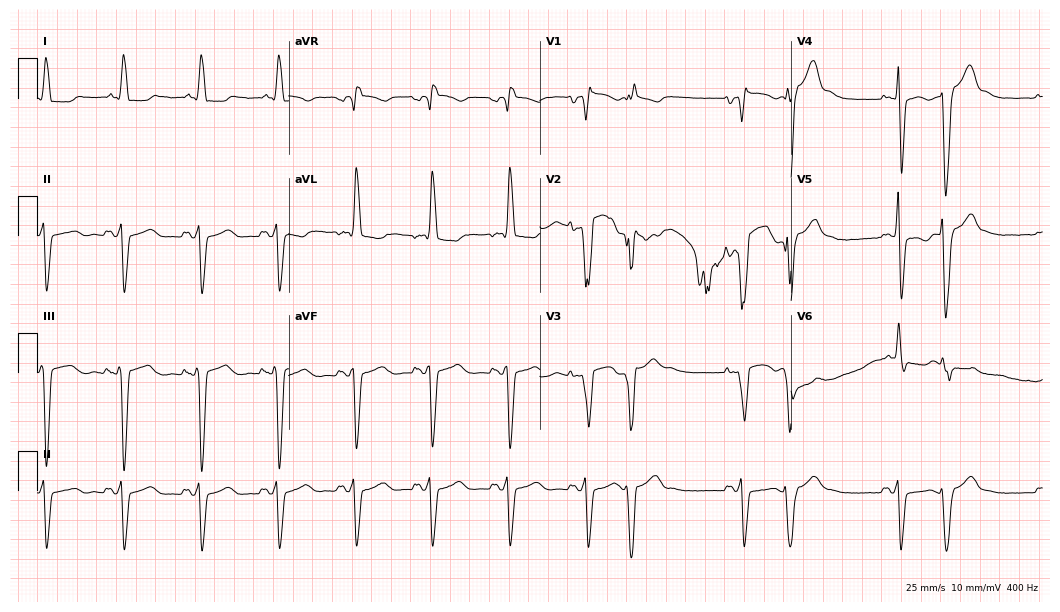
ECG — a 64-year-old female patient. Screened for six findings — first-degree AV block, right bundle branch block, left bundle branch block, sinus bradycardia, atrial fibrillation, sinus tachycardia — none is recorded.